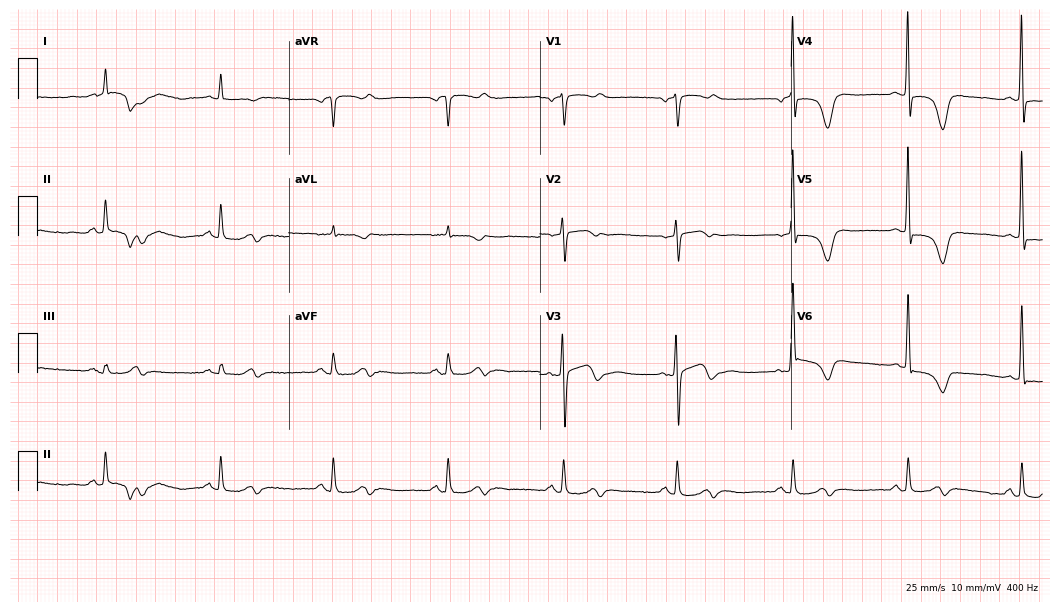
Standard 12-lead ECG recorded from a 79-year-old female. None of these six findings is recorded: first-degree AV block, right bundle branch block, left bundle branch block, sinus bradycardia, atrial fibrillation, sinus tachycardia. Only these six findings were labelled.